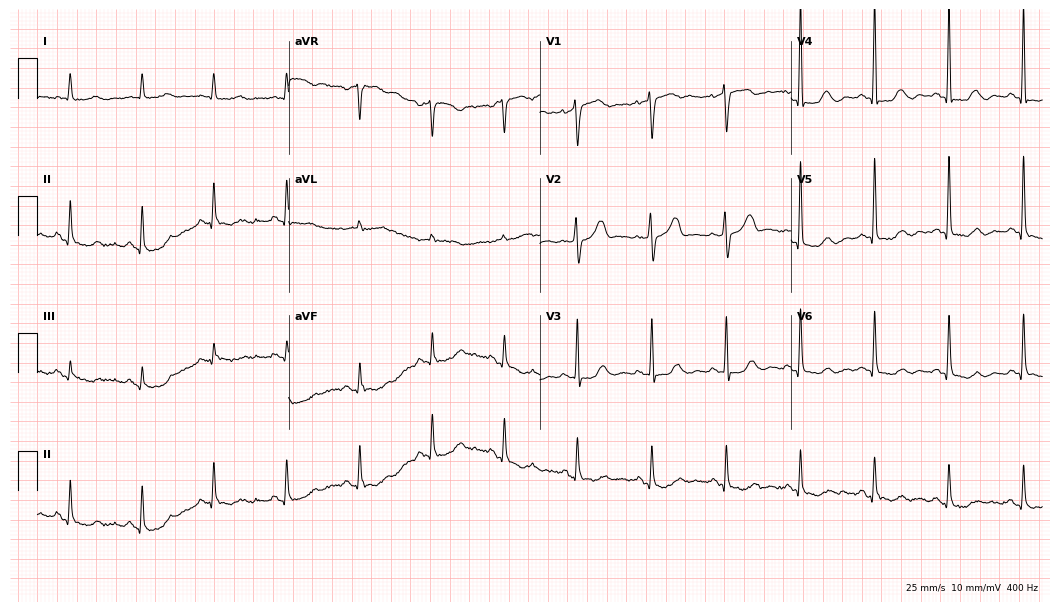
12-lead ECG from a woman, 81 years old. No first-degree AV block, right bundle branch block, left bundle branch block, sinus bradycardia, atrial fibrillation or sinus tachycardia recorded for this tracing. Other findings, if any, are not listed.